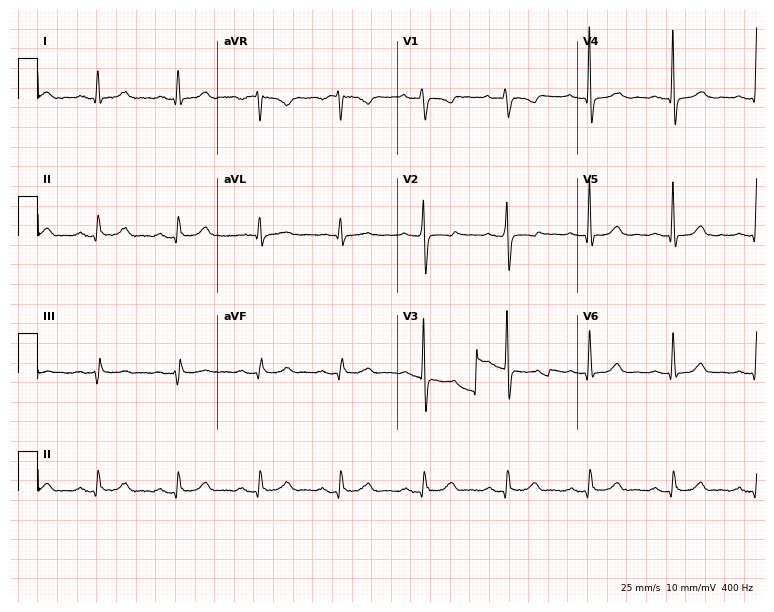
Electrocardiogram (7.3-second recording at 400 Hz), a 52-year-old female patient. Of the six screened findings (first-degree AV block, right bundle branch block, left bundle branch block, sinus bradycardia, atrial fibrillation, sinus tachycardia), none is recorded.